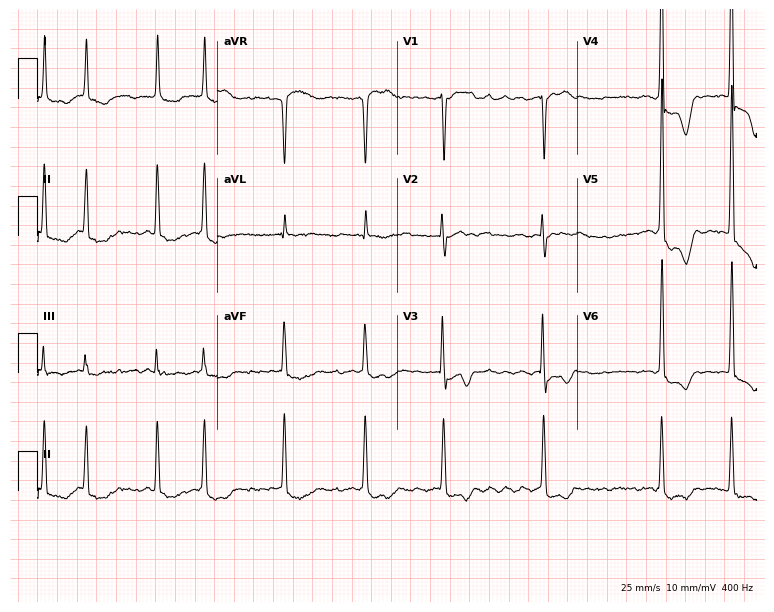
12-lead ECG (7.3-second recording at 400 Hz) from a female, 73 years old. Findings include atrial fibrillation (AF).